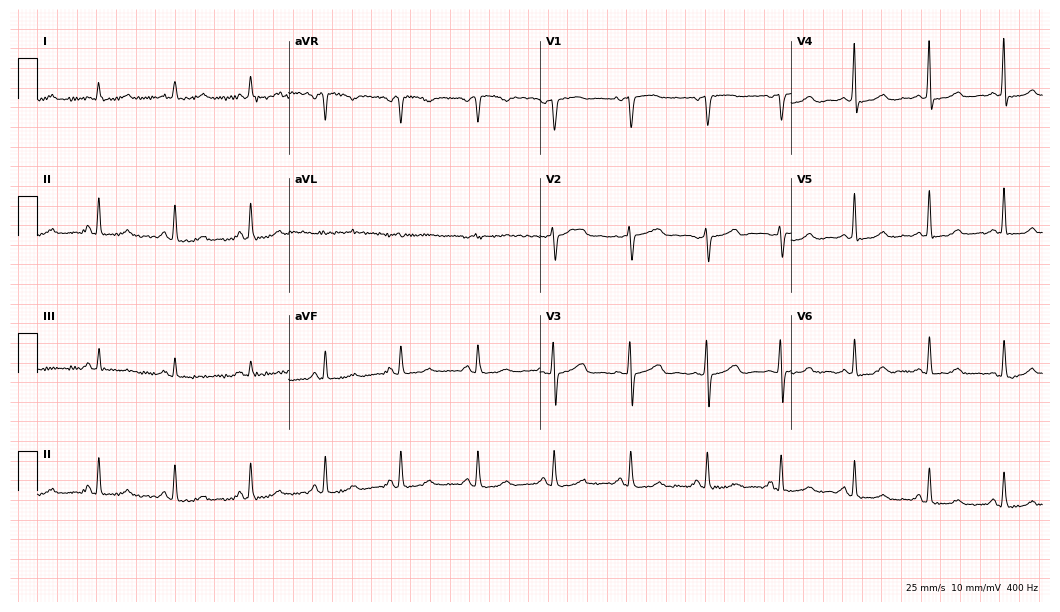
Resting 12-lead electrocardiogram. Patient: a 59-year-old female. Read as a normal ECG.